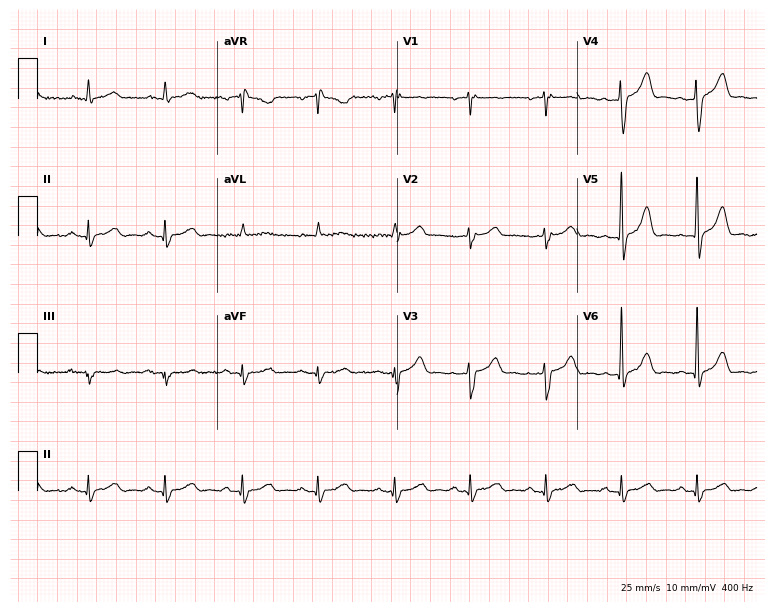
Resting 12-lead electrocardiogram (7.3-second recording at 400 Hz). Patient: a 66-year-old man. None of these six findings is recorded: first-degree AV block, right bundle branch block (RBBB), left bundle branch block (LBBB), sinus bradycardia, atrial fibrillation (AF), sinus tachycardia. Findings outside these six are not listed.